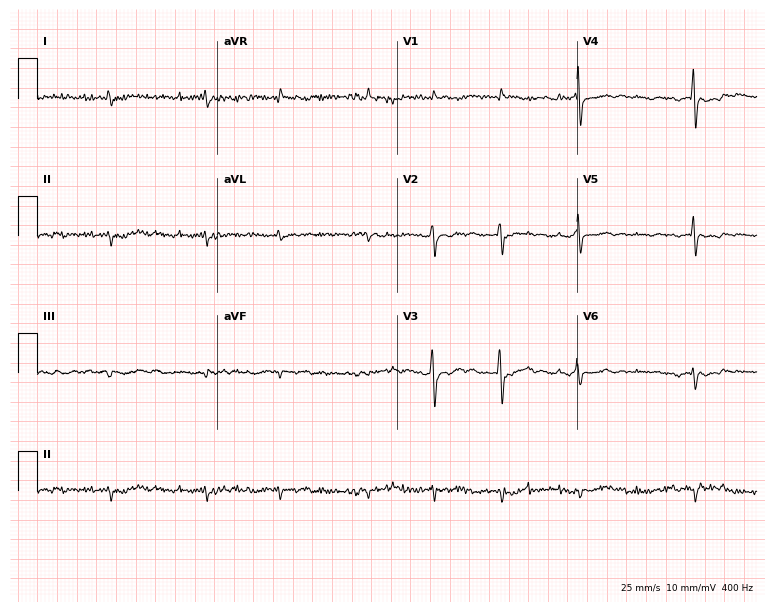
ECG (7.3-second recording at 400 Hz) — a male, 83 years old. Screened for six findings — first-degree AV block, right bundle branch block (RBBB), left bundle branch block (LBBB), sinus bradycardia, atrial fibrillation (AF), sinus tachycardia — none is recorded. Only these six findings were labelled.